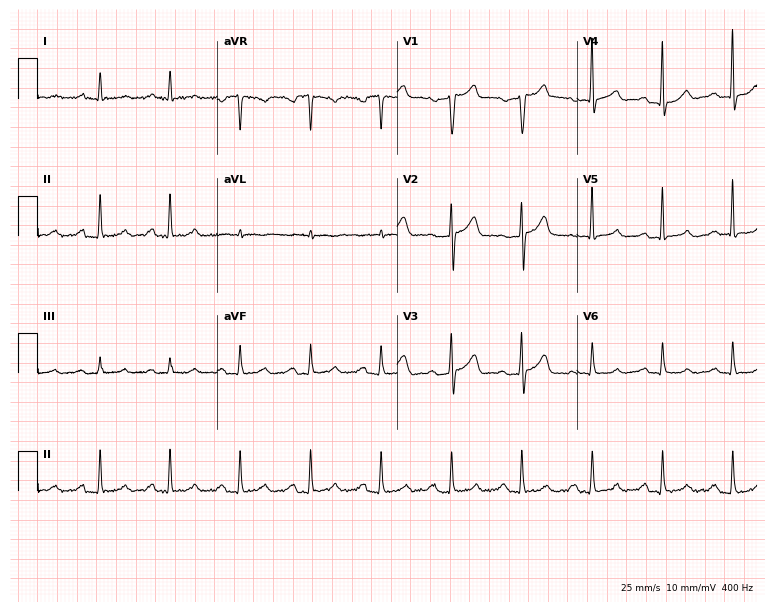
Standard 12-lead ECG recorded from a male patient, 62 years old (7.3-second recording at 400 Hz). Read as a normal ECG.